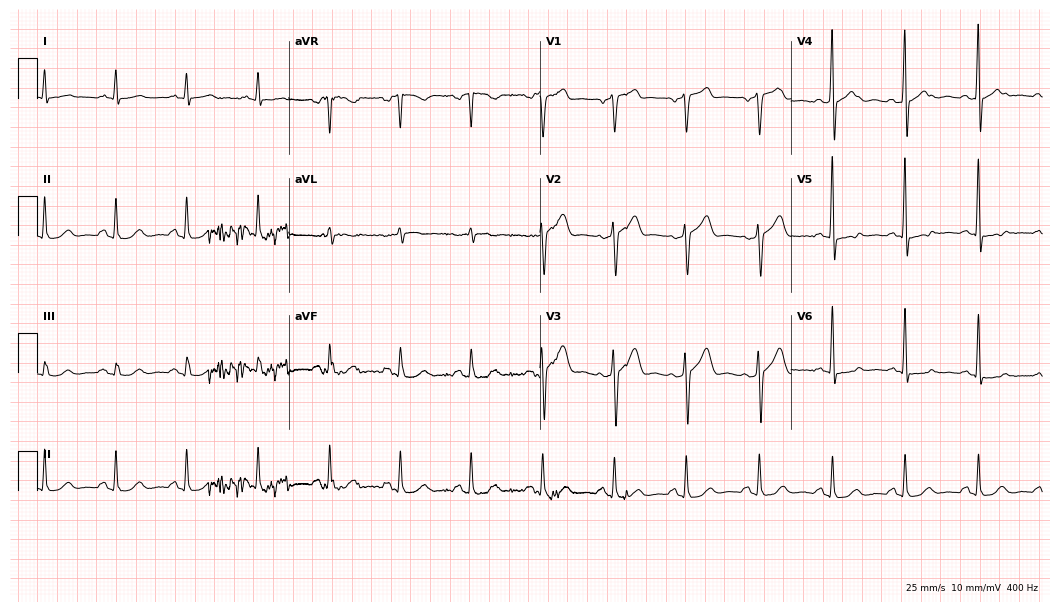
12-lead ECG from a female patient, 62 years old (10.2-second recording at 400 Hz). Recorded interpretation: within normal limits.